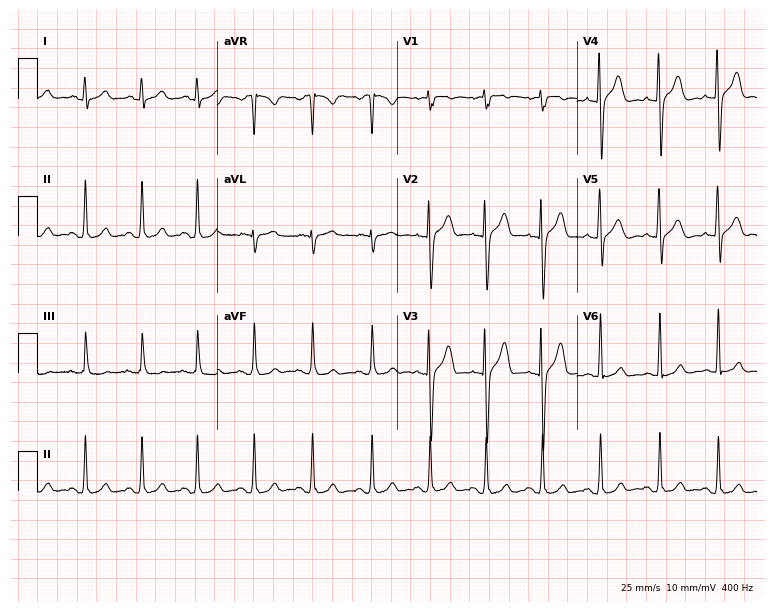
12-lead ECG from a 25-year-old man (7.3-second recording at 400 Hz). Recorded interpretation: within normal limits.